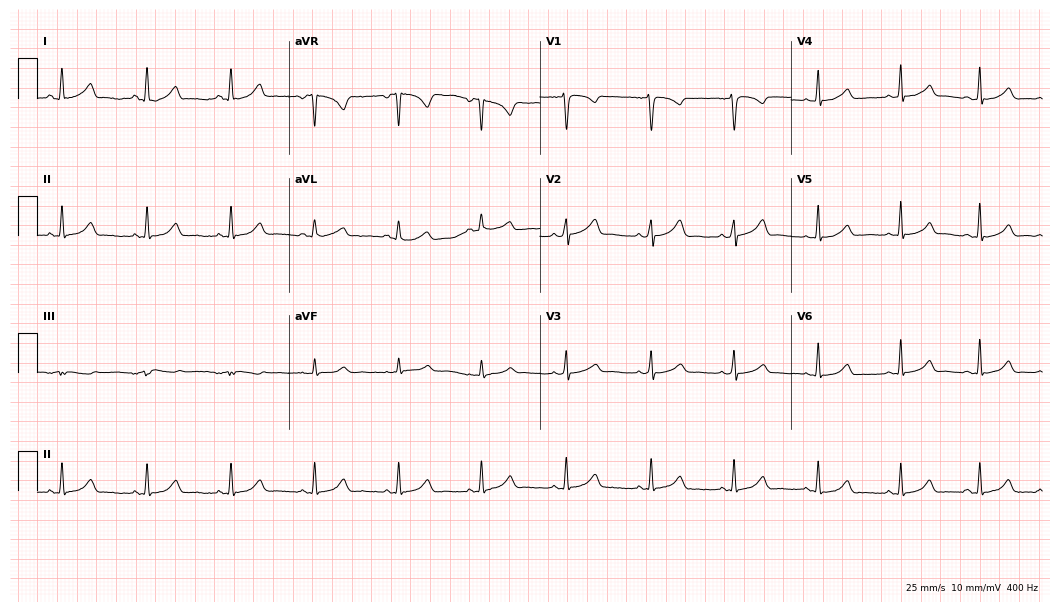
12-lead ECG from a 36-year-old female patient. Labelled as a normal ECG.